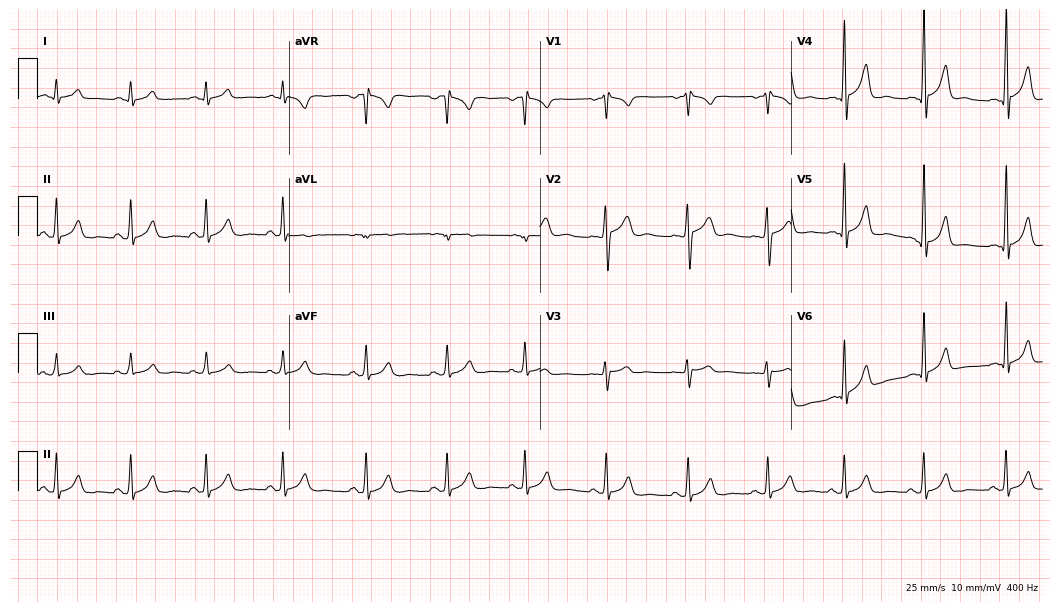
Standard 12-lead ECG recorded from a 23-year-old male. Read as a normal ECG.